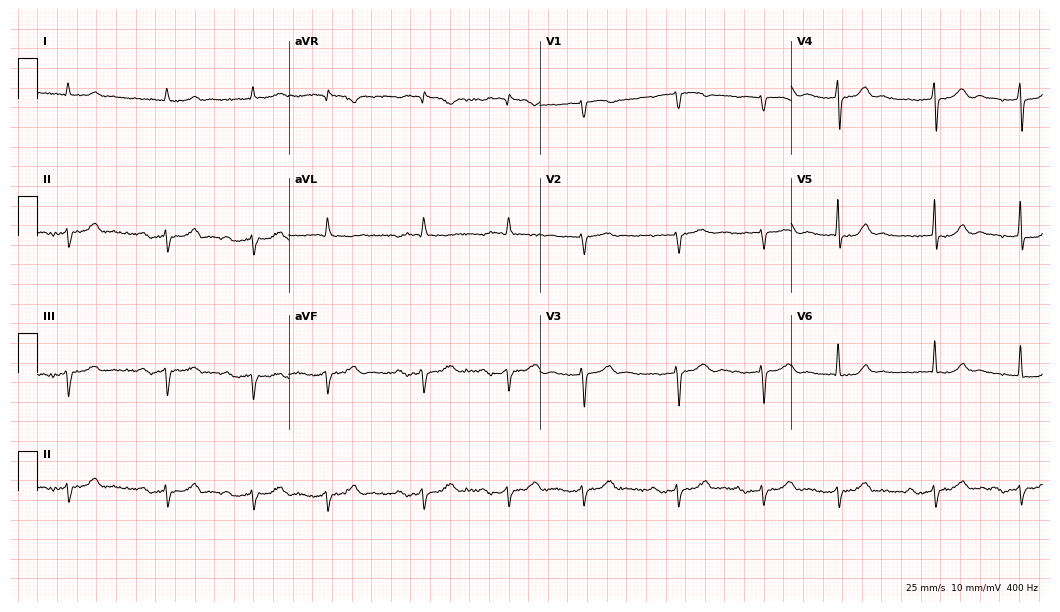
Resting 12-lead electrocardiogram. Patient: a 79-year-old male. The tracing shows first-degree AV block.